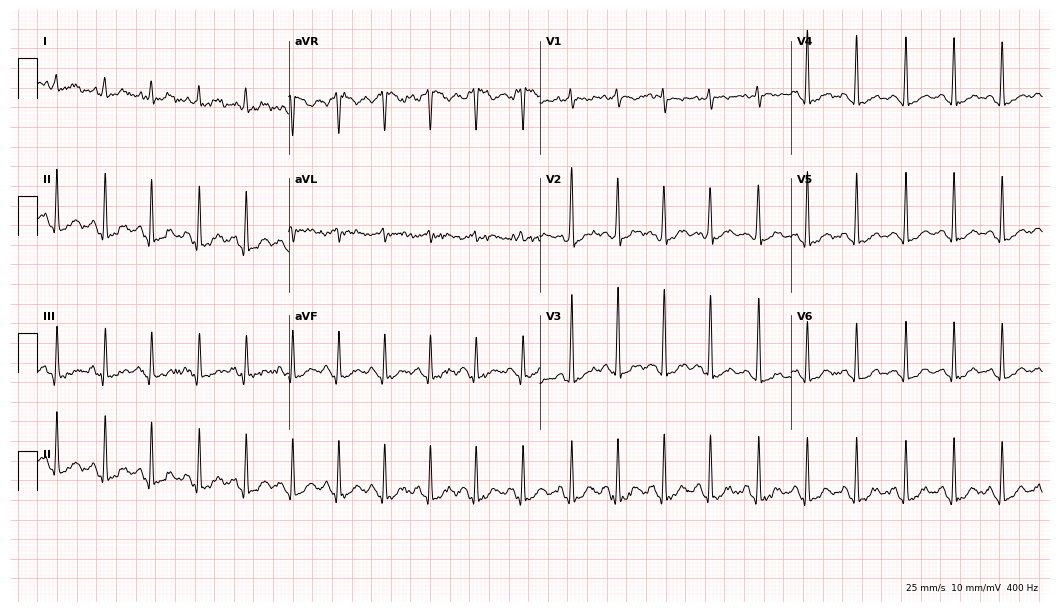
Resting 12-lead electrocardiogram. Patient: a man, 18 years old. The tracing shows sinus tachycardia (a sinus rate of 100 beats per minute or more).